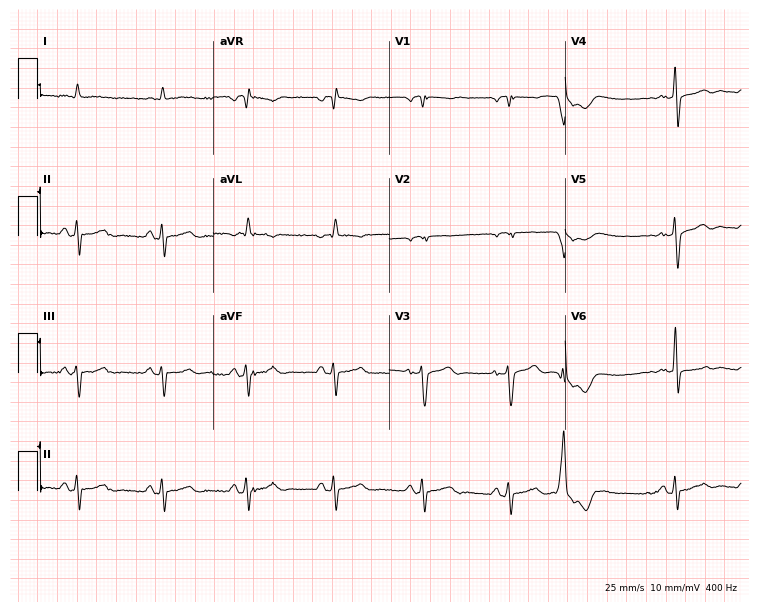
Electrocardiogram, a man, 69 years old. Of the six screened findings (first-degree AV block, right bundle branch block (RBBB), left bundle branch block (LBBB), sinus bradycardia, atrial fibrillation (AF), sinus tachycardia), none is recorded.